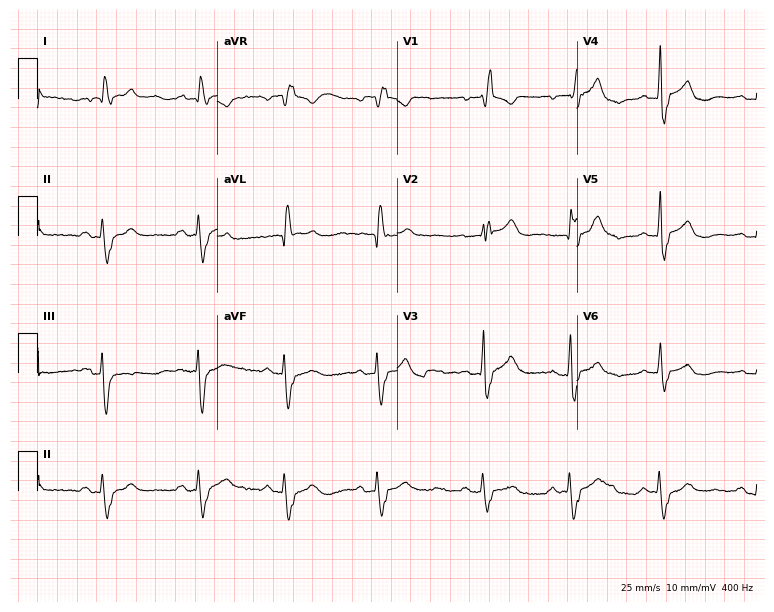
Resting 12-lead electrocardiogram. Patient: a man, 81 years old. The tracing shows right bundle branch block.